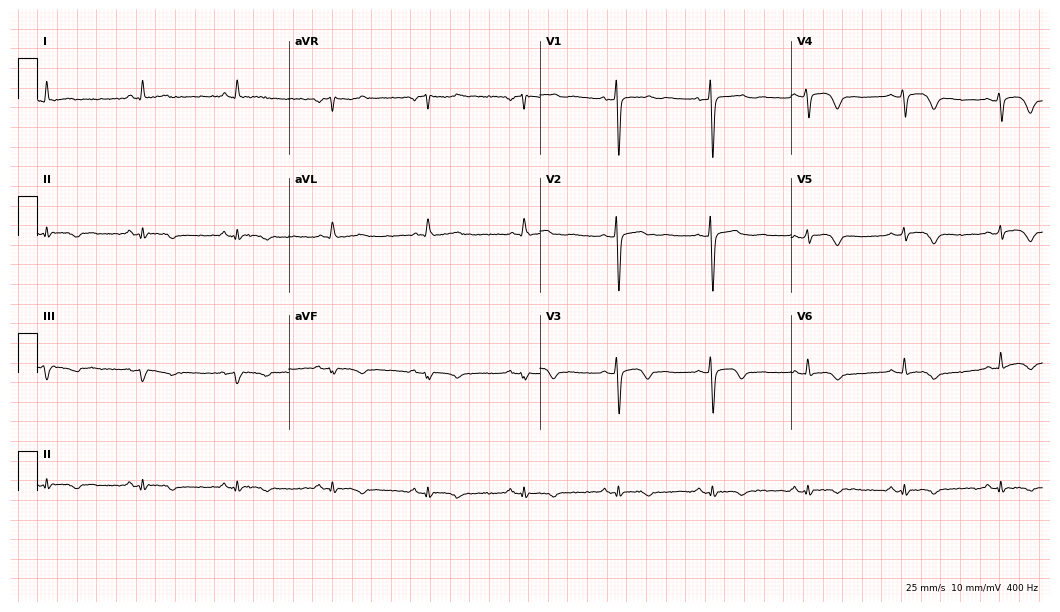
12-lead ECG from a woman, 62 years old. Screened for six findings — first-degree AV block, right bundle branch block, left bundle branch block, sinus bradycardia, atrial fibrillation, sinus tachycardia — none is recorded. Findings outside these six are not listed.